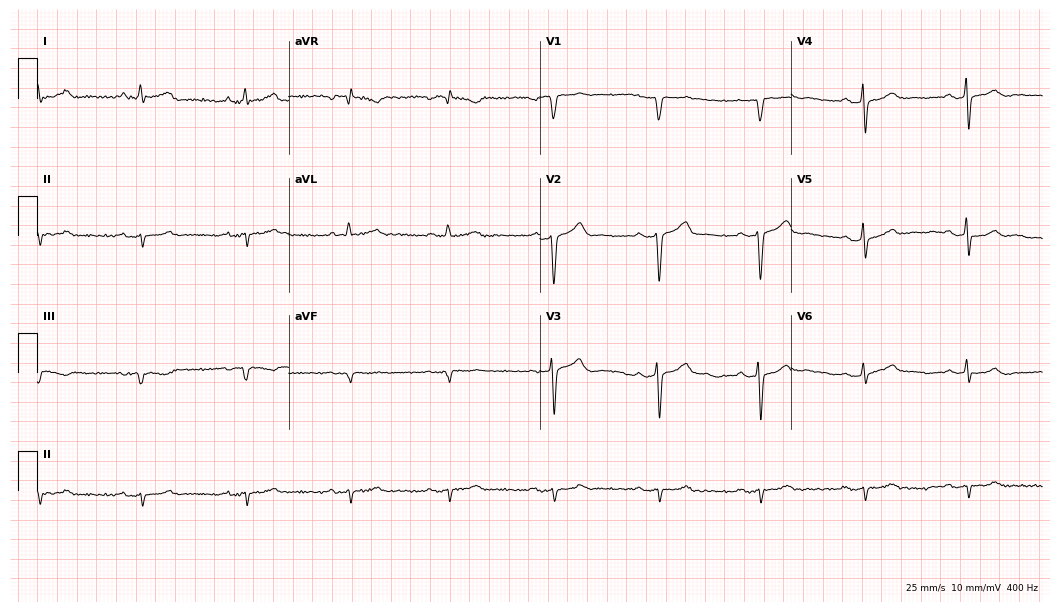
12-lead ECG from a male patient, 55 years old. Findings include first-degree AV block.